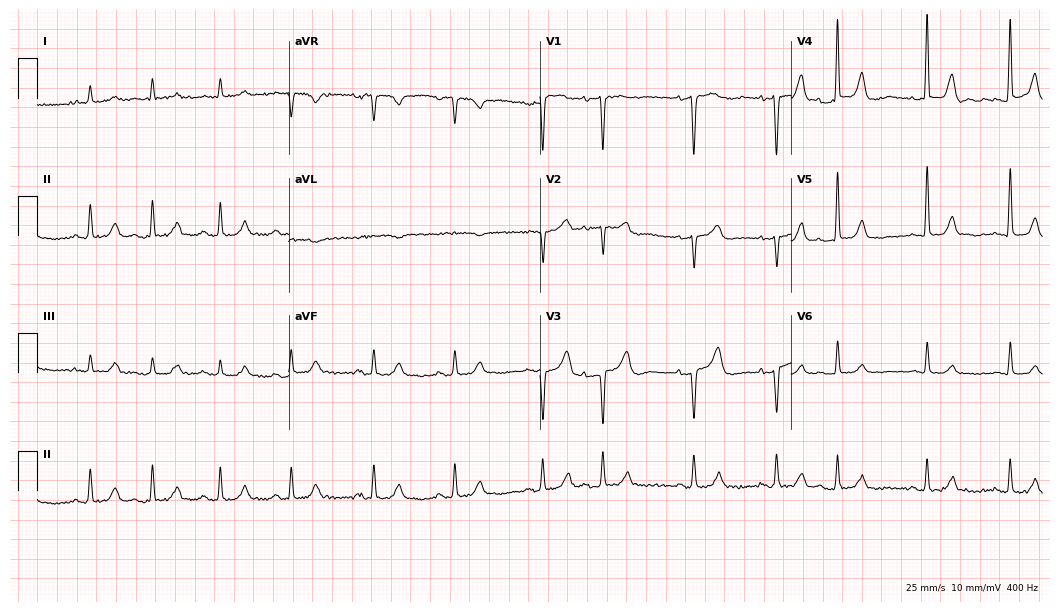
Standard 12-lead ECG recorded from a 72-year-old female (10.2-second recording at 400 Hz). None of these six findings is recorded: first-degree AV block, right bundle branch block, left bundle branch block, sinus bradycardia, atrial fibrillation, sinus tachycardia.